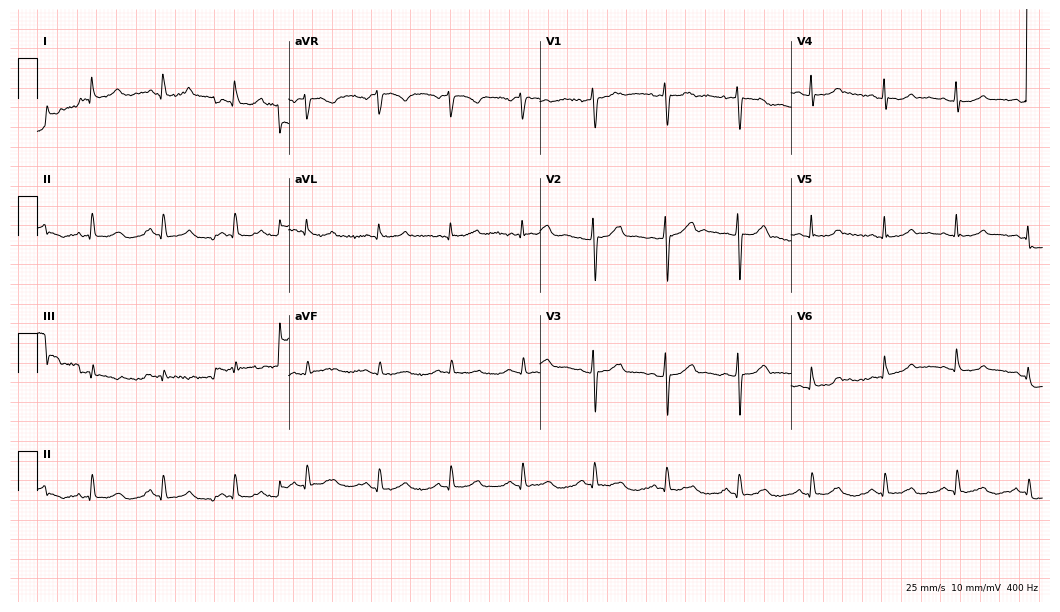
12-lead ECG from a 63-year-old female. Labelled as a normal ECG.